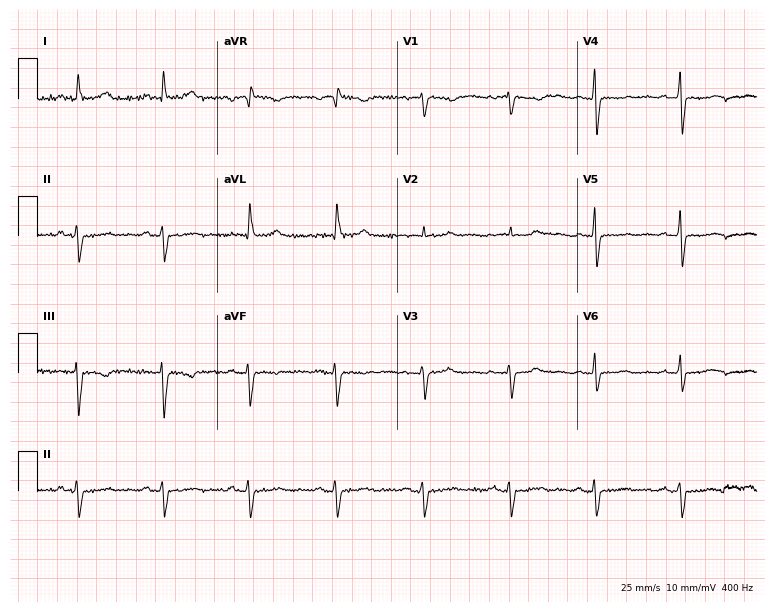
ECG — a 70-year-old woman. Screened for six findings — first-degree AV block, right bundle branch block (RBBB), left bundle branch block (LBBB), sinus bradycardia, atrial fibrillation (AF), sinus tachycardia — none is recorded. Only these six findings were labelled.